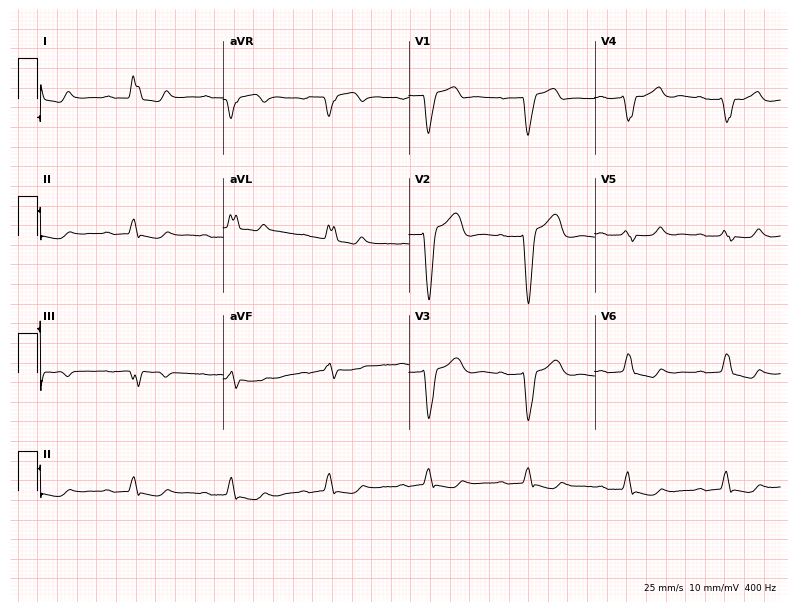
12-lead ECG from an 83-year-old woman. Findings include left bundle branch block.